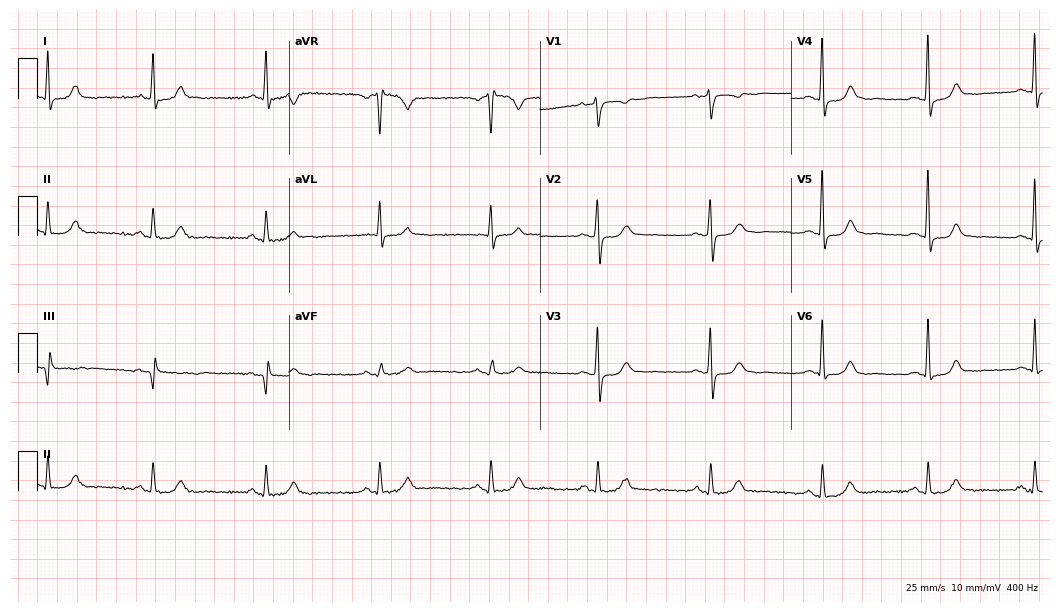
Electrocardiogram (10.2-second recording at 400 Hz), a 59-year-old woman. Of the six screened findings (first-degree AV block, right bundle branch block, left bundle branch block, sinus bradycardia, atrial fibrillation, sinus tachycardia), none is recorded. Other findings, if any, are not listed.